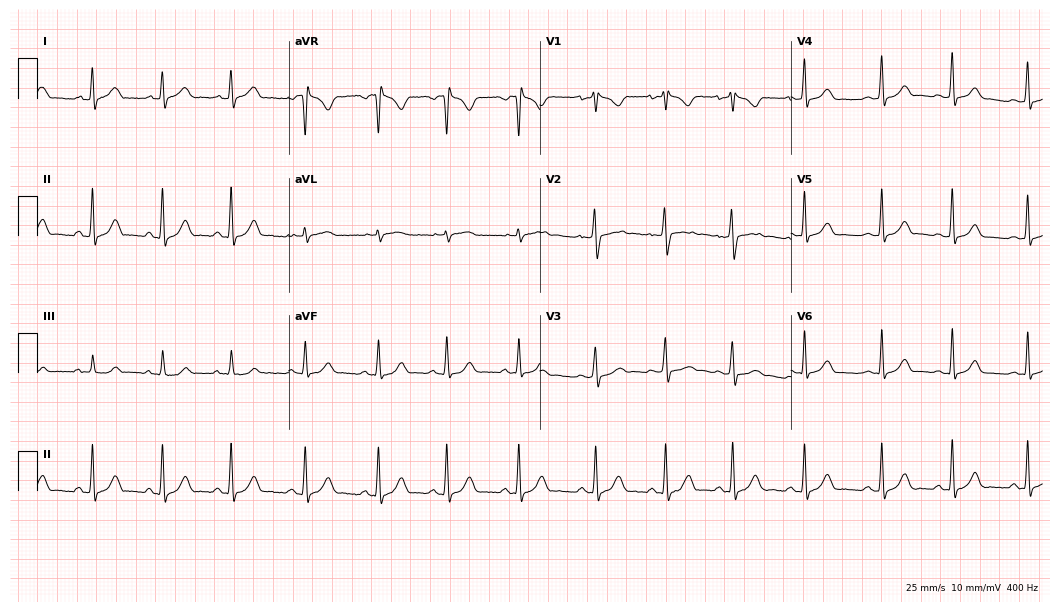
ECG — a 20-year-old female patient. Labelled as a normal ECG.